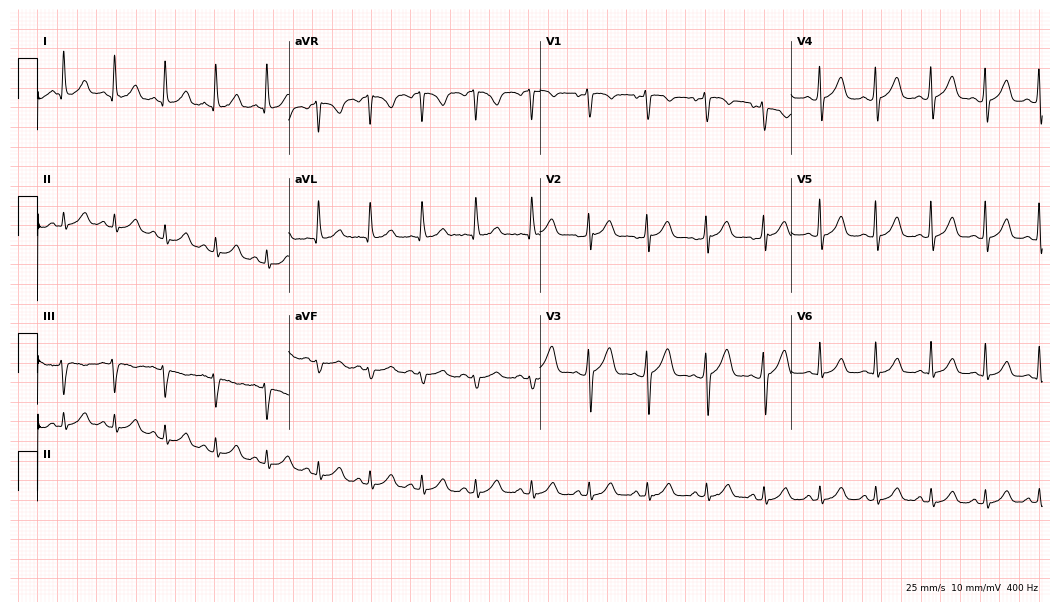
ECG (10.2-second recording at 400 Hz) — a female, 35 years old. Findings include sinus tachycardia (a sinus rate of 100 beats per minute or more).